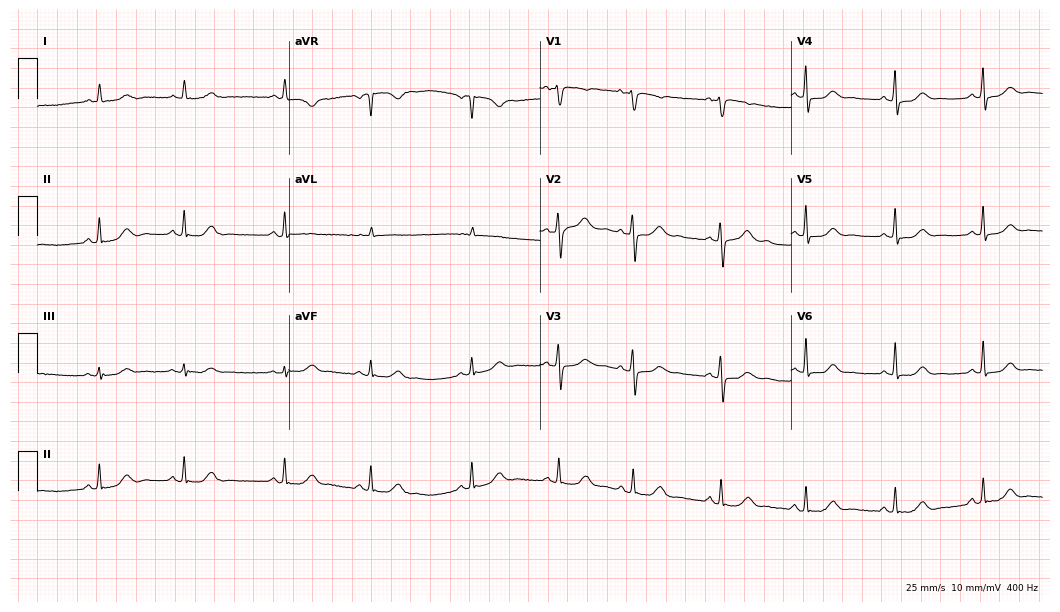
Standard 12-lead ECG recorded from a 76-year-old male patient (10.2-second recording at 400 Hz). Read as a normal ECG.